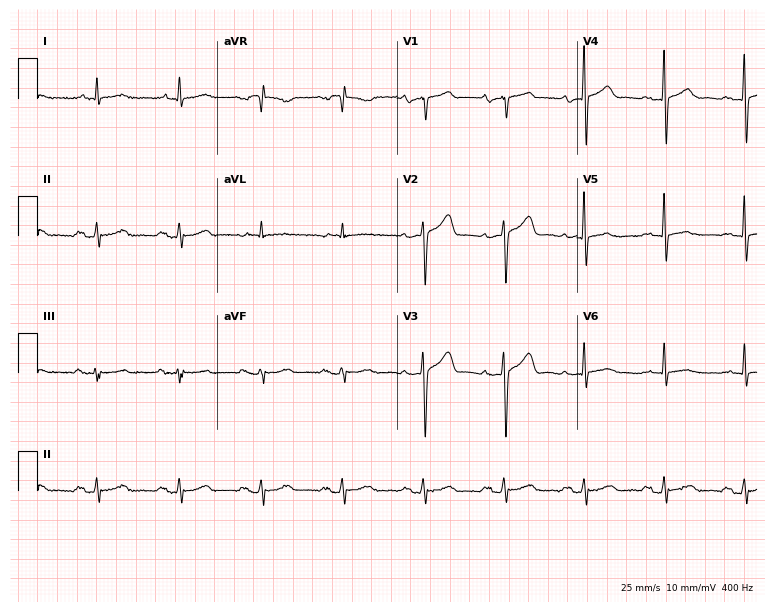
Standard 12-lead ECG recorded from a man, 77 years old (7.3-second recording at 400 Hz). None of these six findings is recorded: first-degree AV block, right bundle branch block, left bundle branch block, sinus bradycardia, atrial fibrillation, sinus tachycardia. Other findings, if any, are not listed.